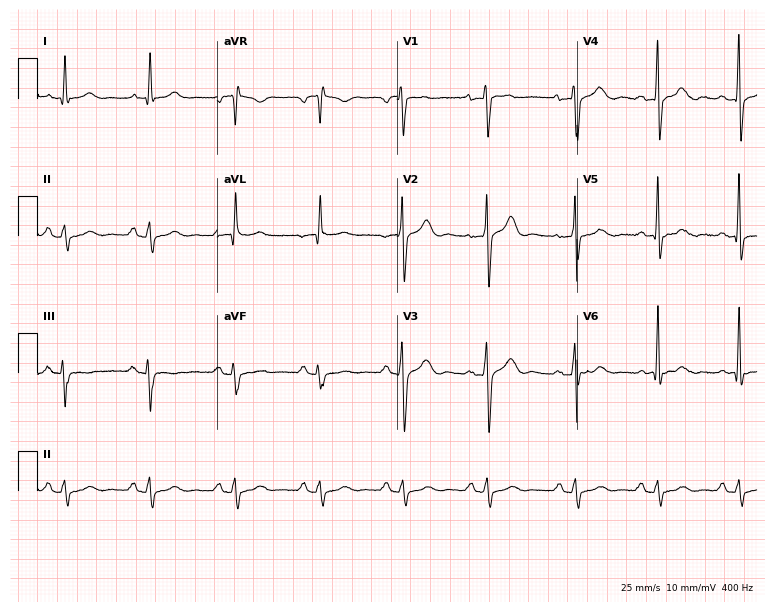
ECG (7.3-second recording at 400 Hz) — a male patient, 67 years old. Screened for six findings — first-degree AV block, right bundle branch block (RBBB), left bundle branch block (LBBB), sinus bradycardia, atrial fibrillation (AF), sinus tachycardia — none is recorded.